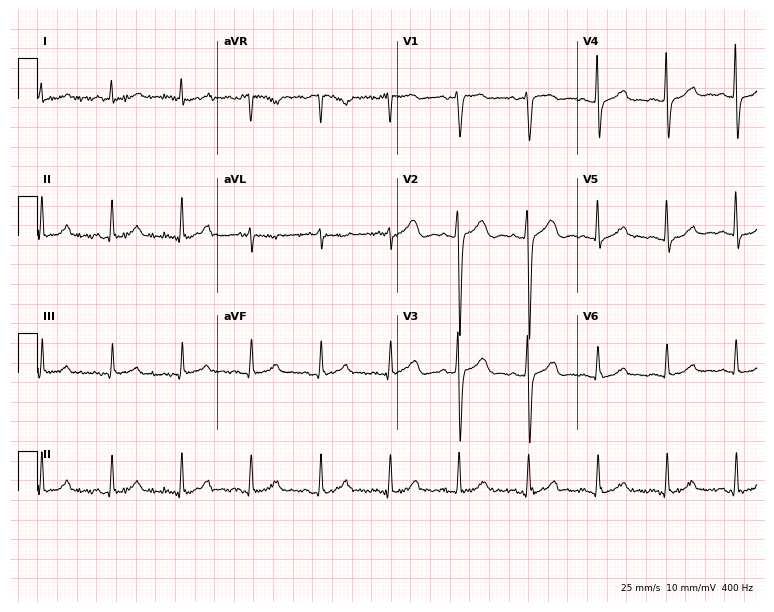
ECG (7.3-second recording at 400 Hz) — a female, 62 years old. Labelled as a normal ECG.